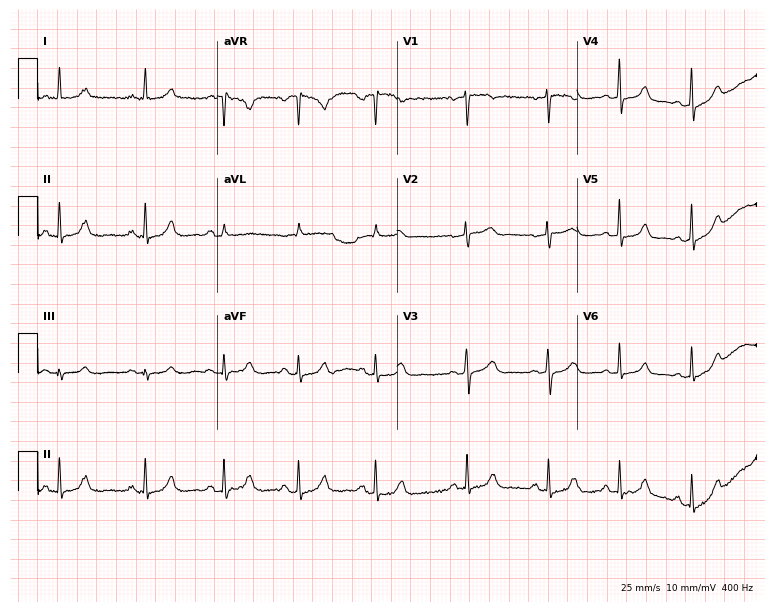
Electrocardiogram (7.3-second recording at 400 Hz), a 40-year-old female. Overall reading on record: normal ECG.